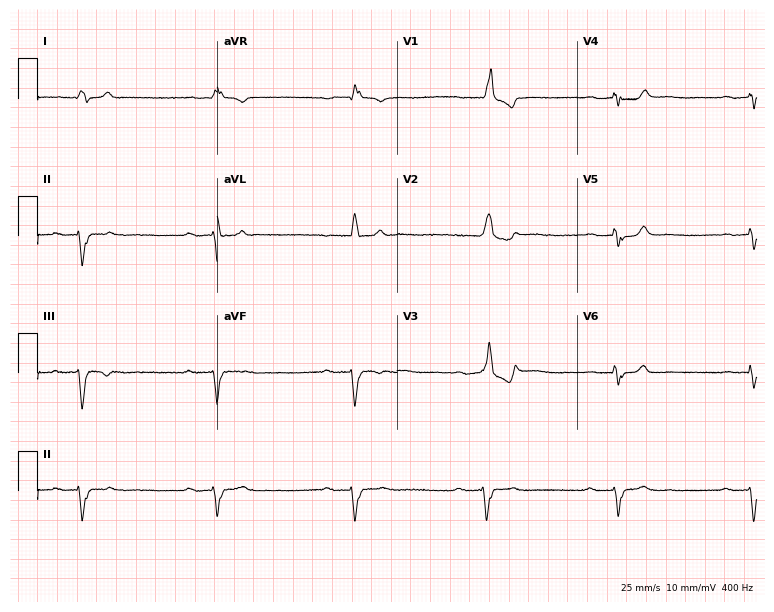
ECG — a 73-year-old male patient. Findings include first-degree AV block, right bundle branch block (RBBB).